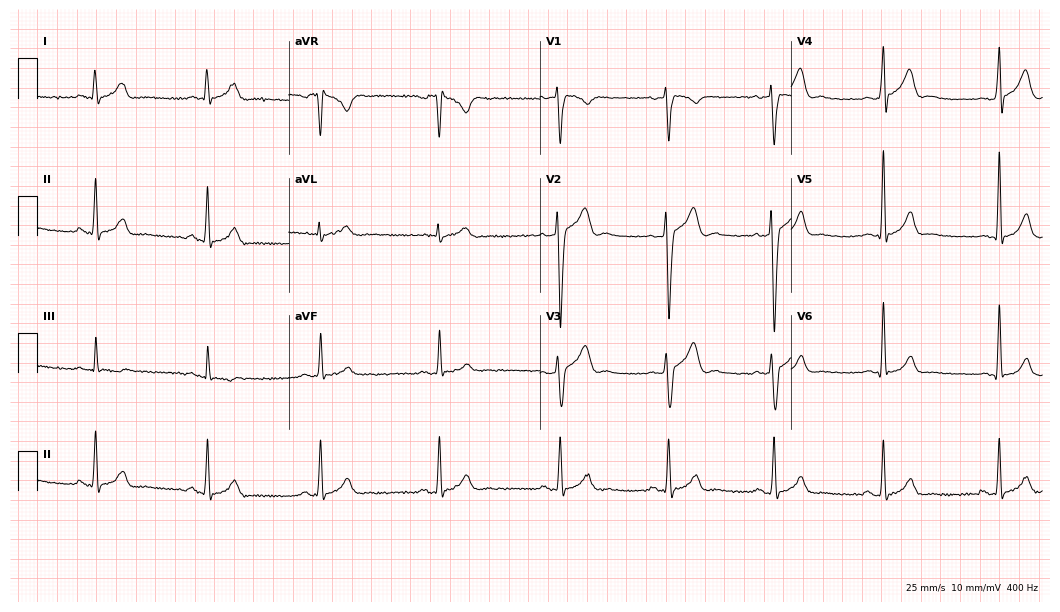
Electrocardiogram, a 43-year-old male patient. Overall reading on record: normal ECG.